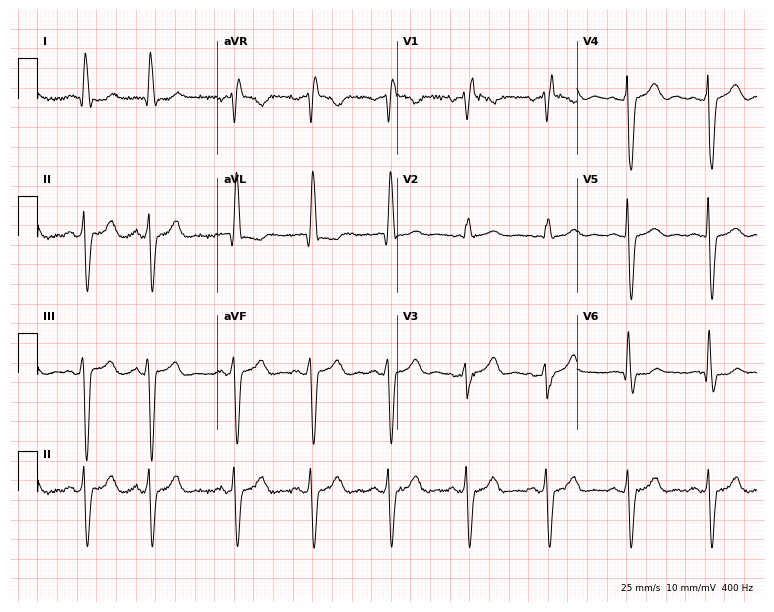
ECG (7.3-second recording at 400 Hz) — a female, 76 years old. Findings include right bundle branch block.